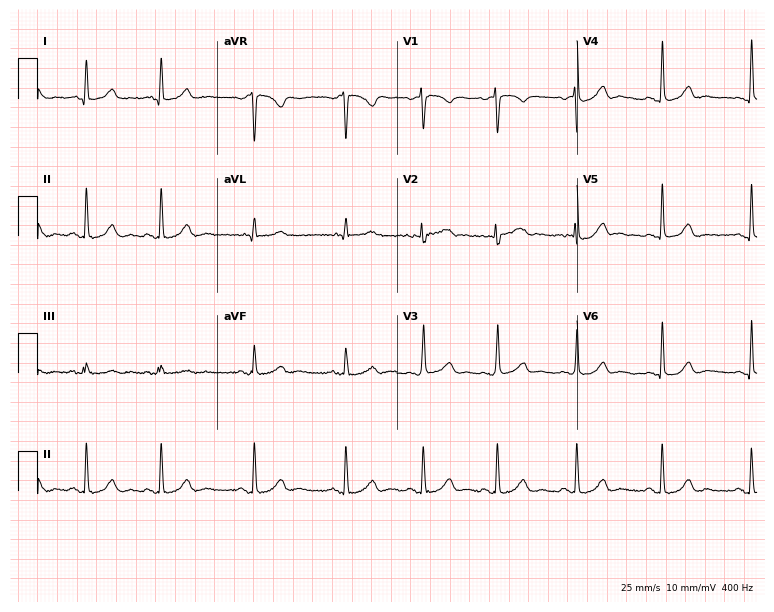
ECG (7.3-second recording at 400 Hz) — a 34-year-old female patient. Labelled as a normal ECG.